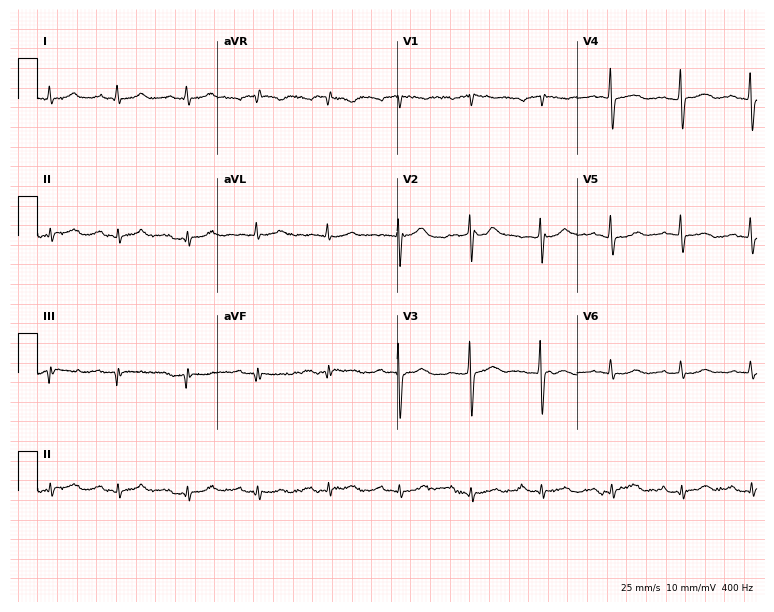
Resting 12-lead electrocardiogram. Patient: a 59-year-old man. None of these six findings is recorded: first-degree AV block, right bundle branch block (RBBB), left bundle branch block (LBBB), sinus bradycardia, atrial fibrillation (AF), sinus tachycardia.